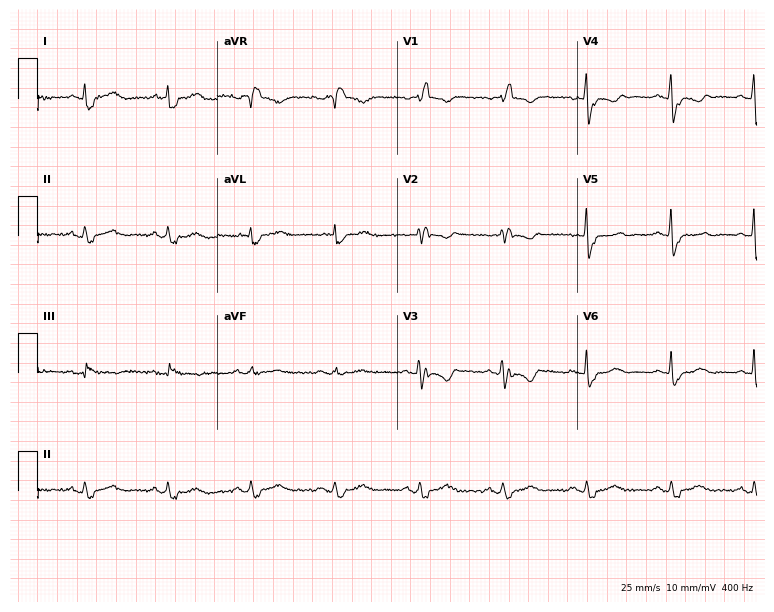
Resting 12-lead electrocardiogram. Patient: a 63-year-old female. None of these six findings is recorded: first-degree AV block, right bundle branch block (RBBB), left bundle branch block (LBBB), sinus bradycardia, atrial fibrillation (AF), sinus tachycardia. Only these six findings were labelled.